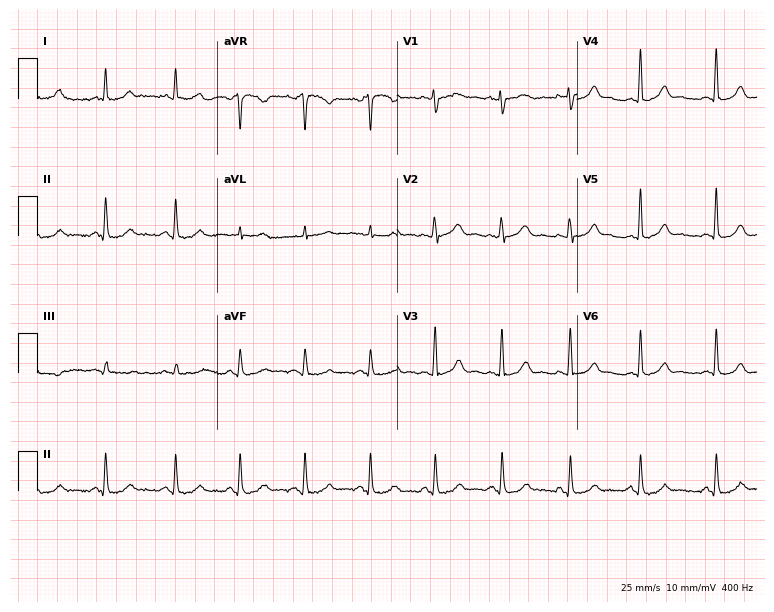
Standard 12-lead ECG recorded from a 34-year-old woman (7.3-second recording at 400 Hz). Read as a normal ECG.